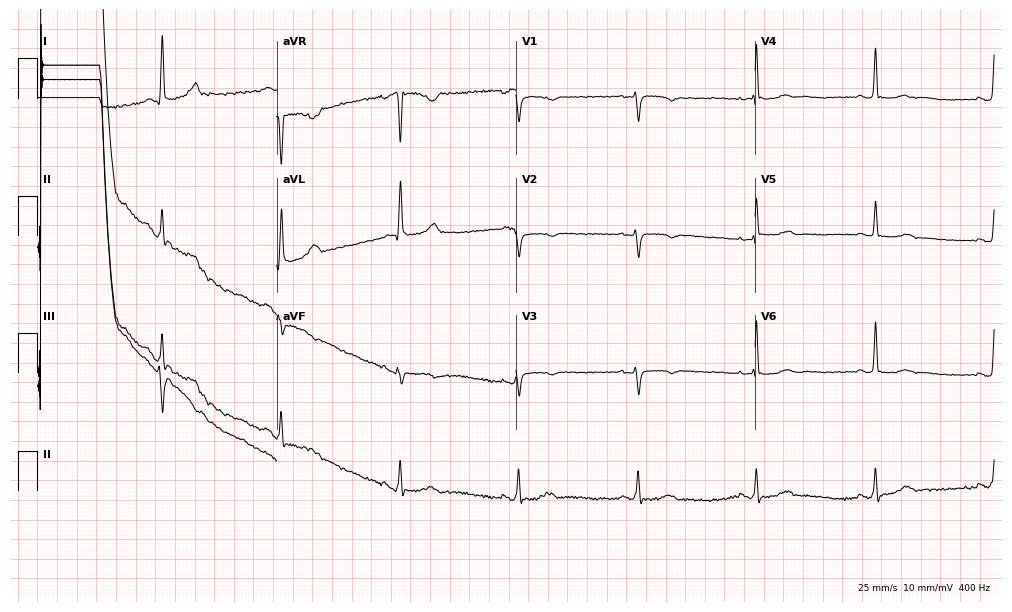
Resting 12-lead electrocardiogram. Patient: a woman, 54 years old. None of these six findings is recorded: first-degree AV block, right bundle branch block, left bundle branch block, sinus bradycardia, atrial fibrillation, sinus tachycardia. Only these six findings were labelled.